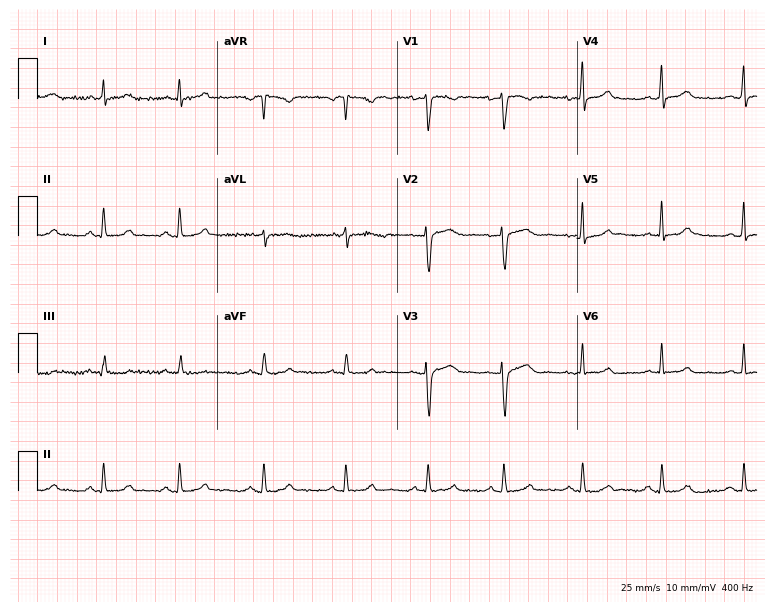
Standard 12-lead ECG recorded from a 32-year-old woman (7.3-second recording at 400 Hz). None of these six findings is recorded: first-degree AV block, right bundle branch block, left bundle branch block, sinus bradycardia, atrial fibrillation, sinus tachycardia. Findings outside these six are not listed.